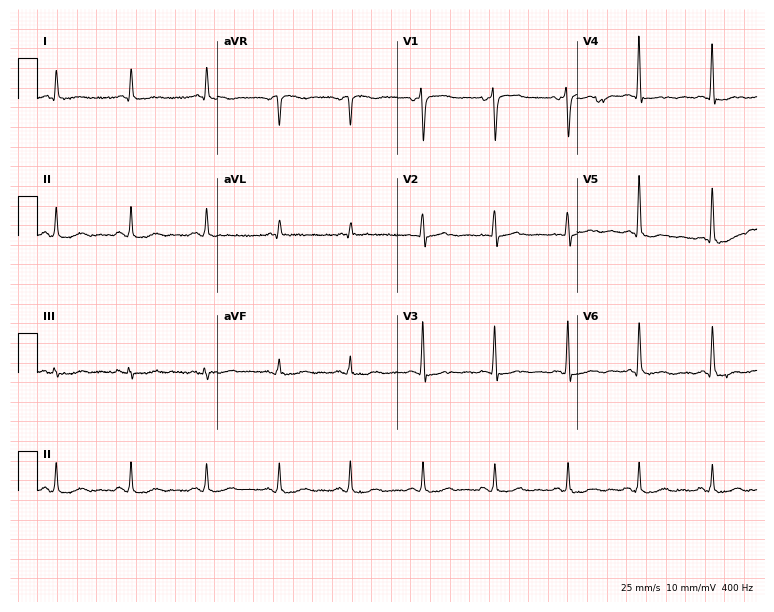
12-lead ECG from a male, 80 years old. Labelled as a normal ECG.